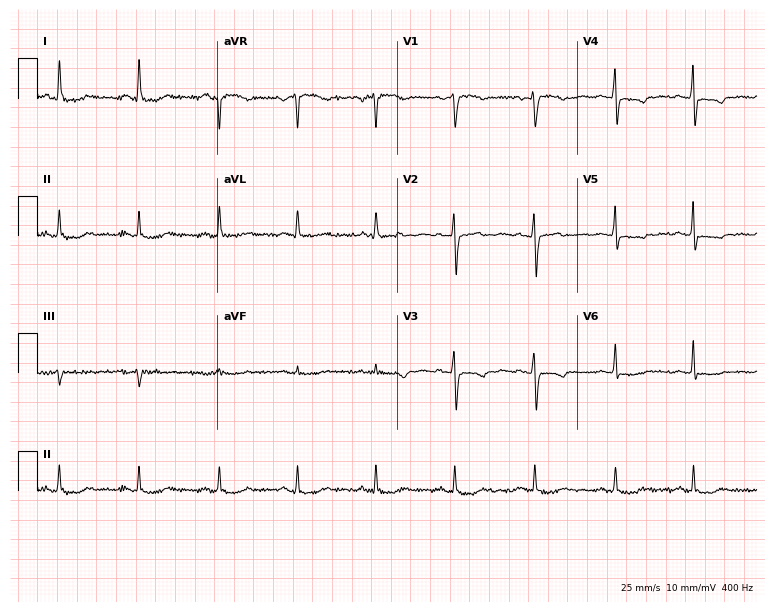
Resting 12-lead electrocardiogram. Patient: a woman, 47 years old. None of these six findings is recorded: first-degree AV block, right bundle branch block, left bundle branch block, sinus bradycardia, atrial fibrillation, sinus tachycardia.